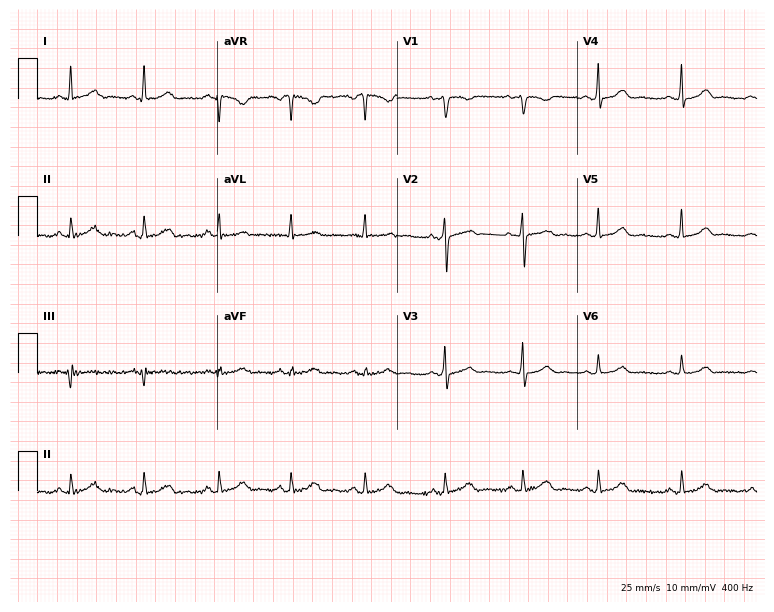
12-lead ECG (7.3-second recording at 400 Hz) from a woman, 32 years old. Labelled as a normal ECG.